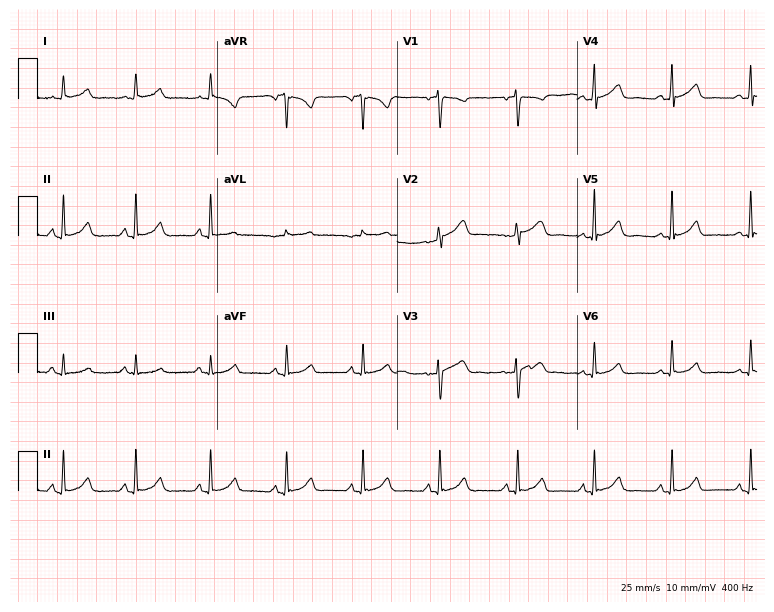
Electrocardiogram, a 49-year-old female patient. Overall reading on record: normal ECG.